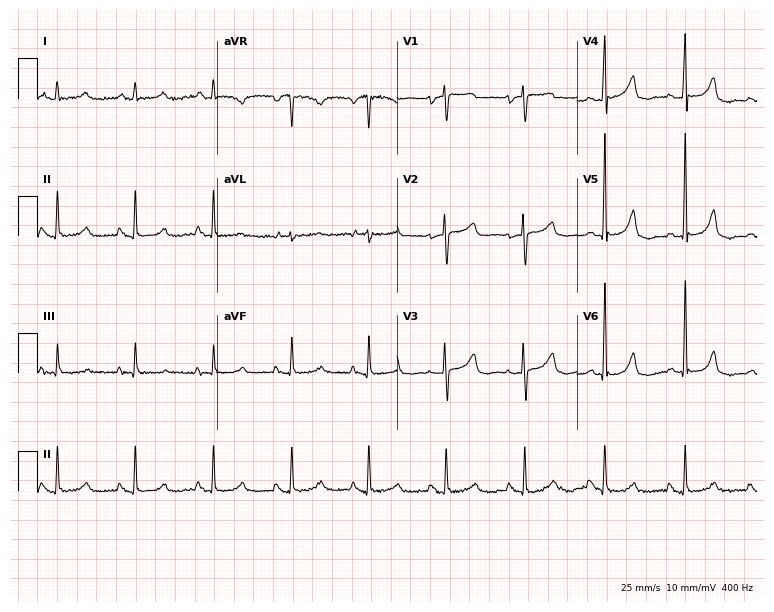
Standard 12-lead ECG recorded from a female, 56 years old (7.3-second recording at 400 Hz). None of these six findings is recorded: first-degree AV block, right bundle branch block, left bundle branch block, sinus bradycardia, atrial fibrillation, sinus tachycardia. Findings outside these six are not listed.